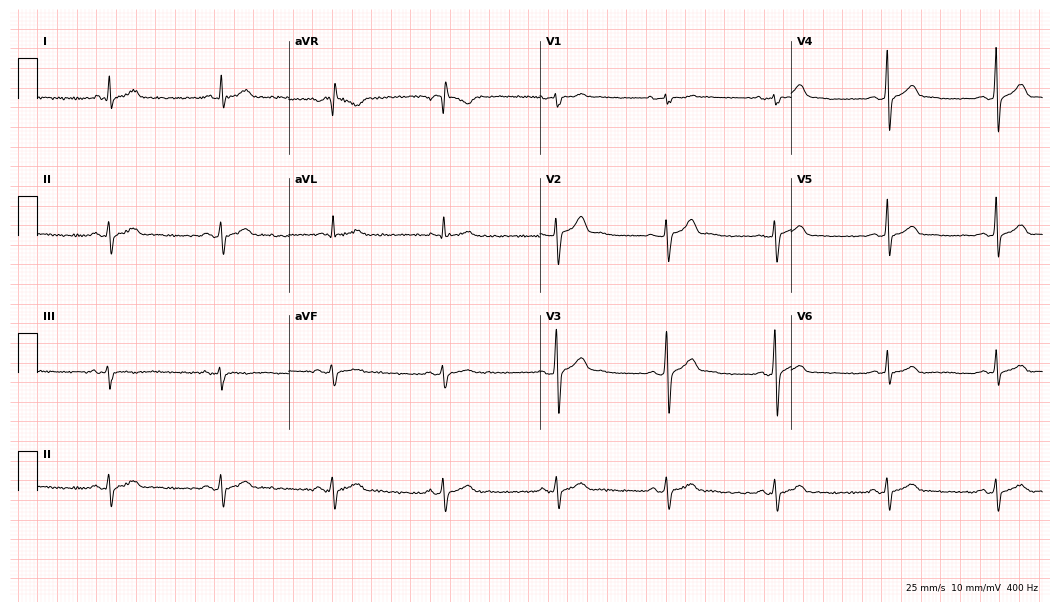
ECG — a man, 37 years old. Screened for six findings — first-degree AV block, right bundle branch block (RBBB), left bundle branch block (LBBB), sinus bradycardia, atrial fibrillation (AF), sinus tachycardia — none is recorded. Other findings, if any, are not listed.